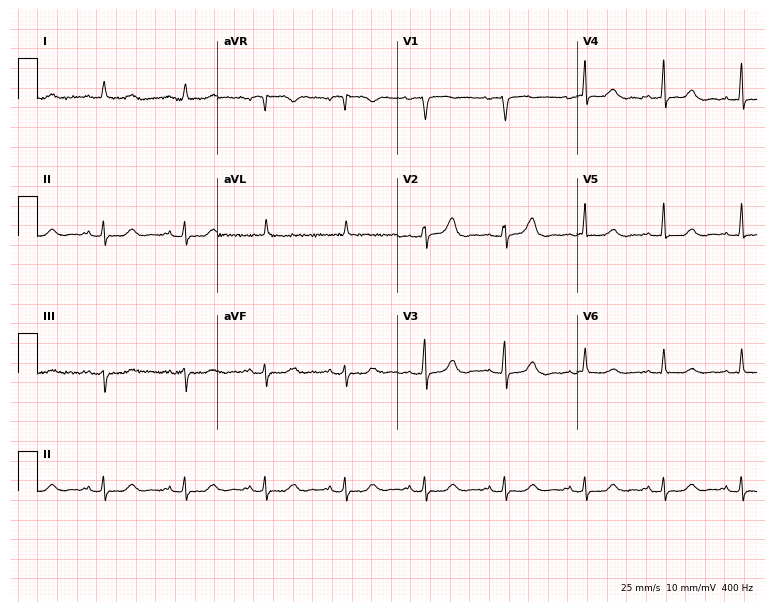
Standard 12-lead ECG recorded from an 81-year-old female (7.3-second recording at 400 Hz). None of these six findings is recorded: first-degree AV block, right bundle branch block, left bundle branch block, sinus bradycardia, atrial fibrillation, sinus tachycardia. Other findings, if any, are not listed.